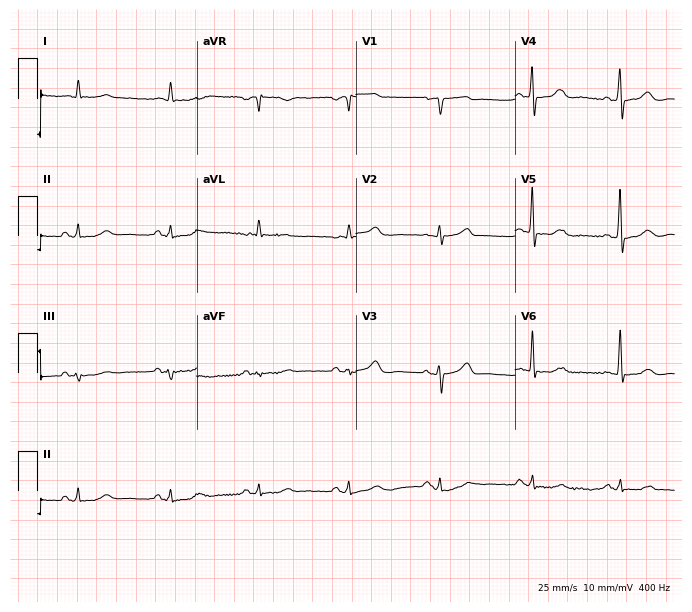
Electrocardiogram (6.5-second recording at 400 Hz), a 75-year-old man. Of the six screened findings (first-degree AV block, right bundle branch block, left bundle branch block, sinus bradycardia, atrial fibrillation, sinus tachycardia), none is recorded. Findings outside these six are not listed.